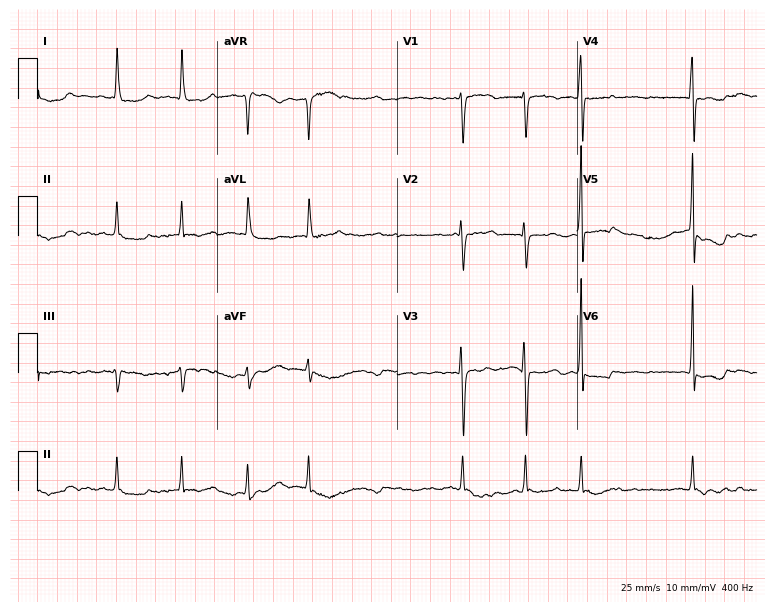
12-lead ECG (7.3-second recording at 400 Hz) from a 68-year-old female. Findings include atrial fibrillation.